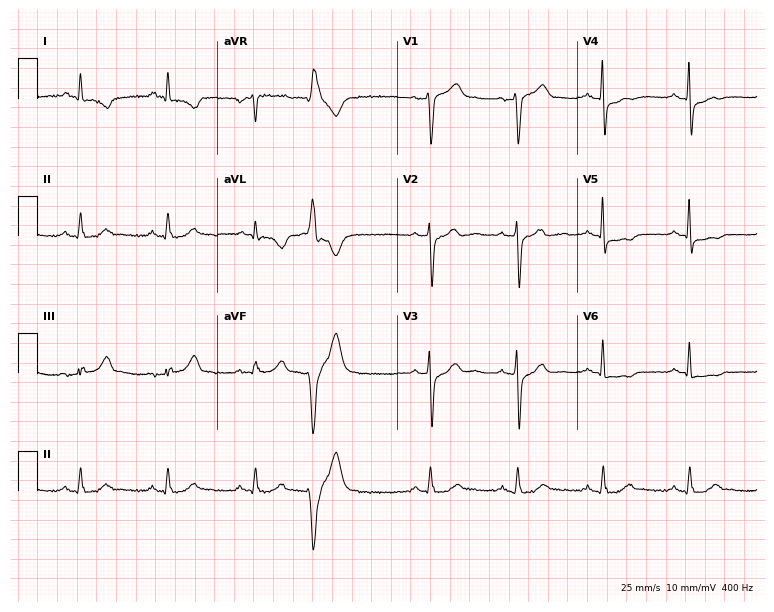
Electrocardiogram (7.3-second recording at 400 Hz), a 56-year-old male patient. Of the six screened findings (first-degree AV block, right bundle branch block, left bundle branch block, sinus bradycardia, atrial fibrillation, sinus tachycardia), none is recorded. Only these six findings were labelled.